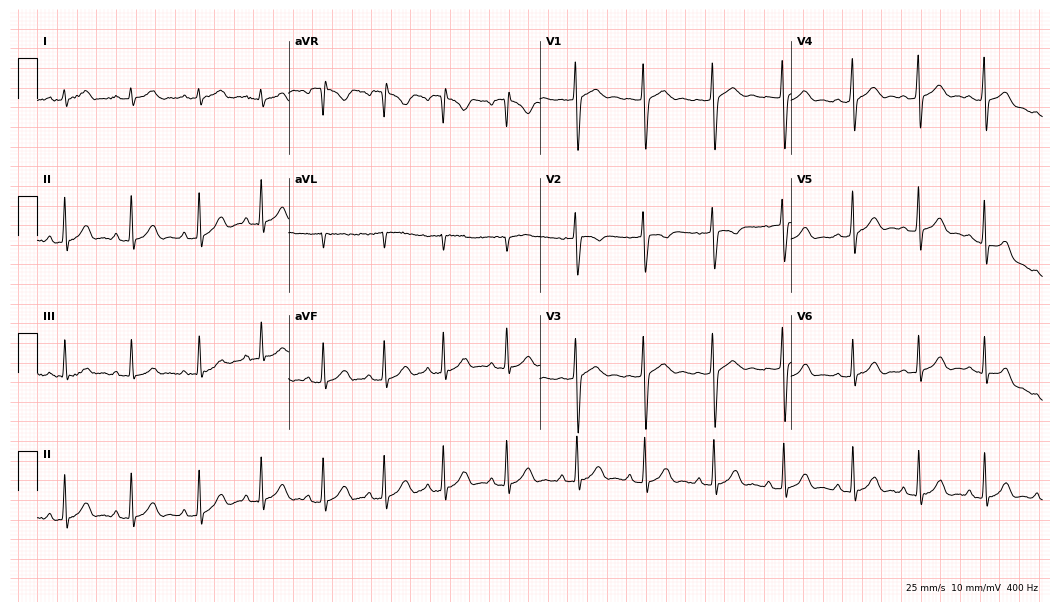
Standard 12-lead ECG recorded from a female patient, 26 years old (10.2-second recording at 400 Hz). Read as a normal ECG.